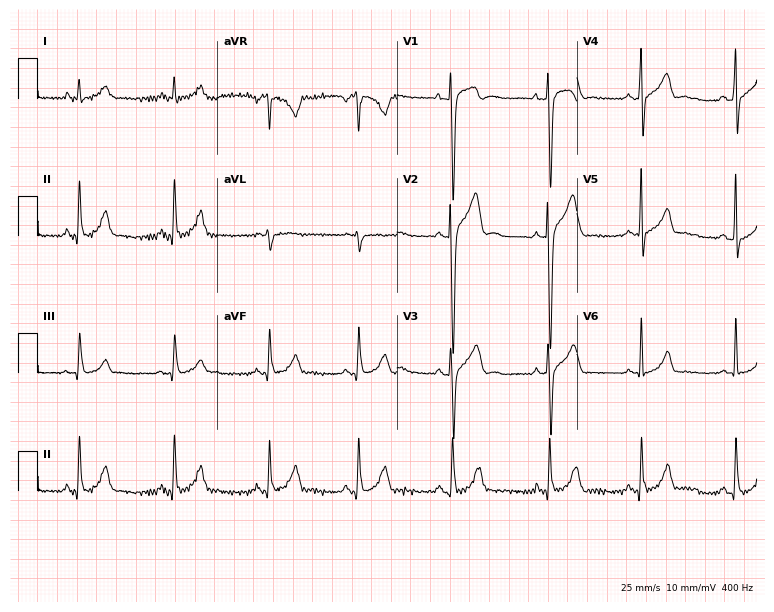
Standard 12-lead ECG recorded from a 33-year-old male. None of these six findings is recorded: first-degree AV block, right bundle branch block, left bundle branch block, sinus bradycardia, atrial fibrillation, sinus tachycardia. Findings outside these six are not listed.